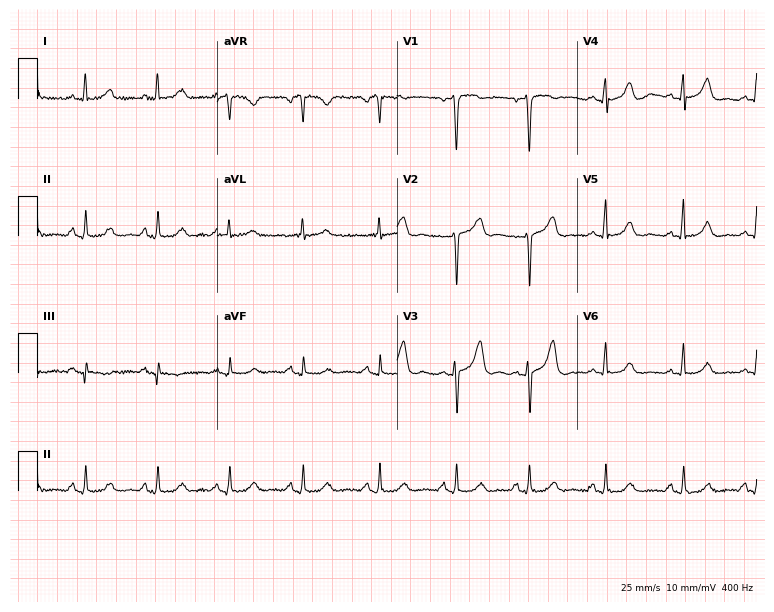
12-lead ECG (7.3-second recording at 400 Hz) from a 48-year-old female patient. Labelled as a normal ECG.